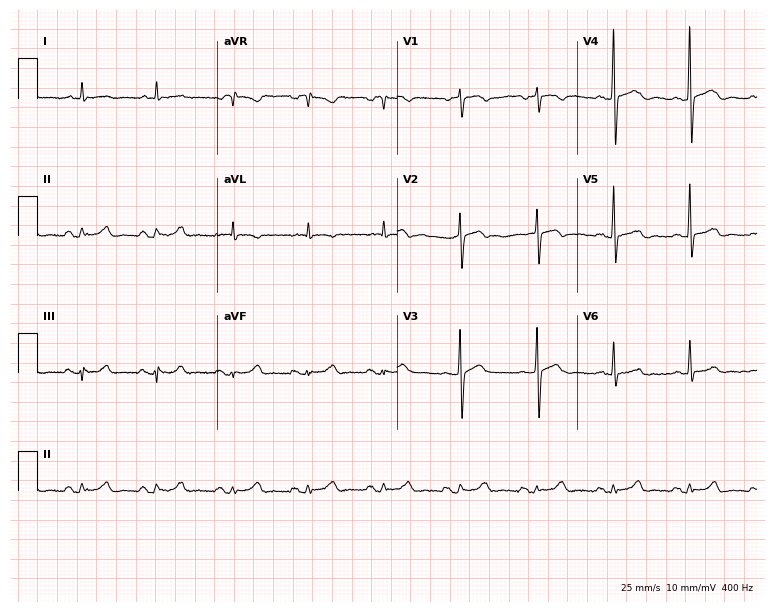
Electrocardiogram, a male patient, 76 years old. Of the six screened findings (first-degree AV block, right bundle branch block, left bundle branch block, sinus bradycardia, atrial fibrillation, sinus tachycardia), none is recorded.